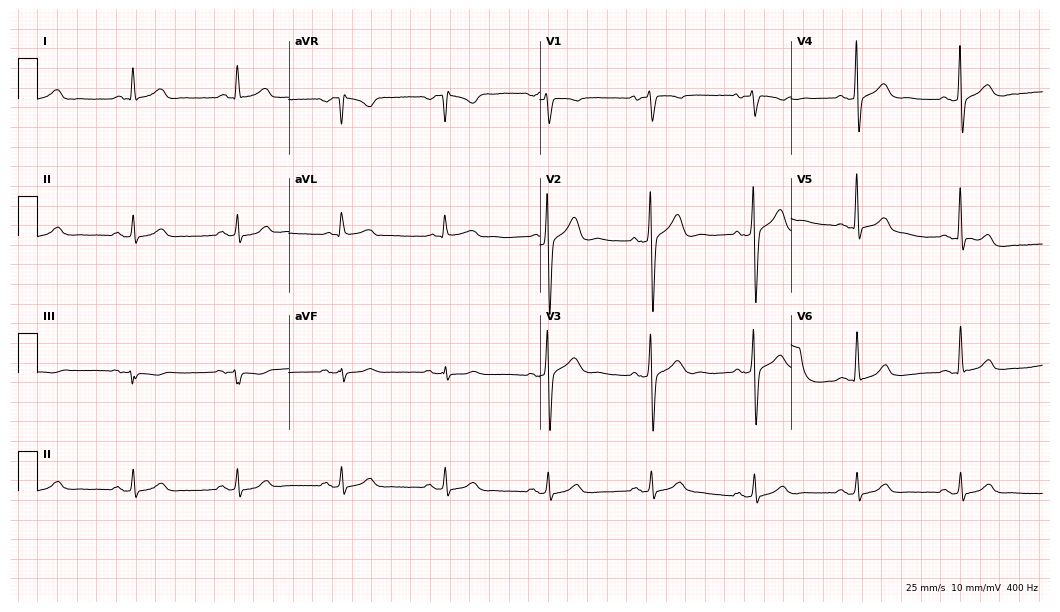
Electrocardiogram (10.2-second recording at 400 Hz), a male, 66 years old. Overall reading on record: normal ECG.